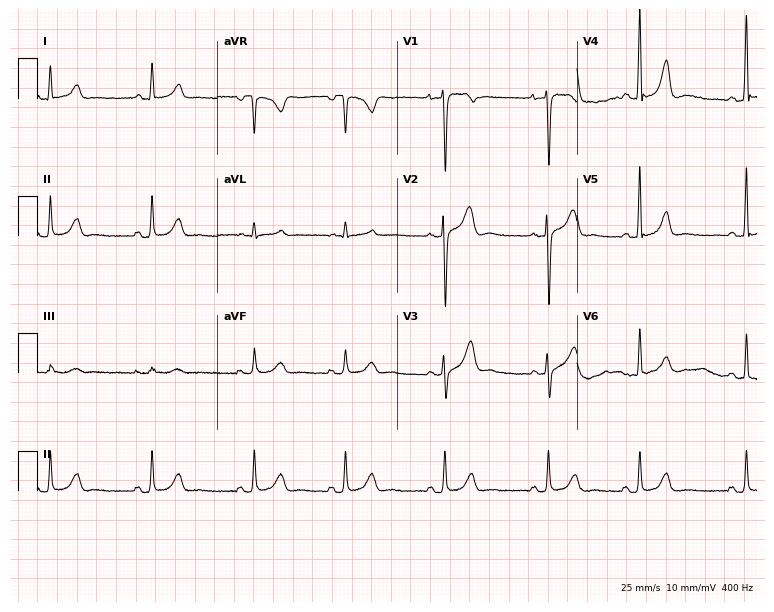
Electrocardiogram (7.3-second recording at 400 Hz), a 32-year-old woman. Overall reading on record: normal ECG.